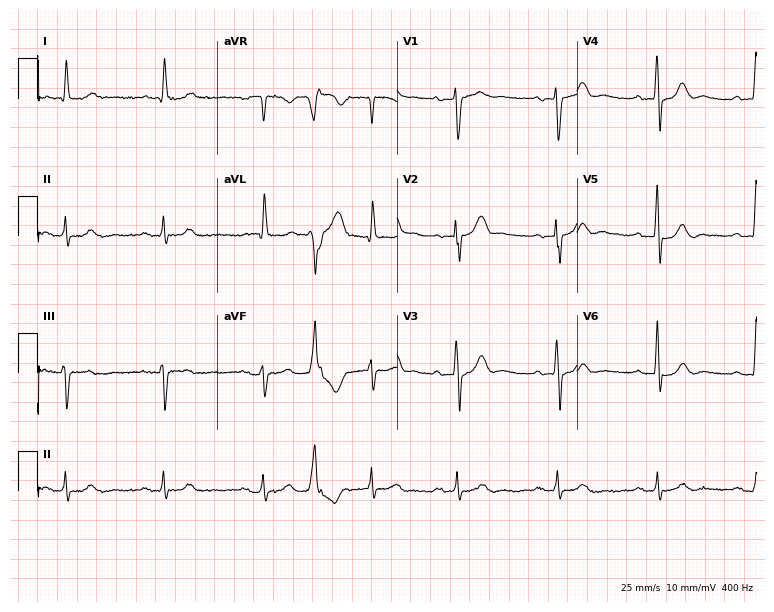
ECG — a male, 69 years old. Screened for six findings — first-degree AV block, right bundle branch block, left bundle branch block, sinus bradycardia, atrial fibrillation, sinus tachycardia — none is recorded.